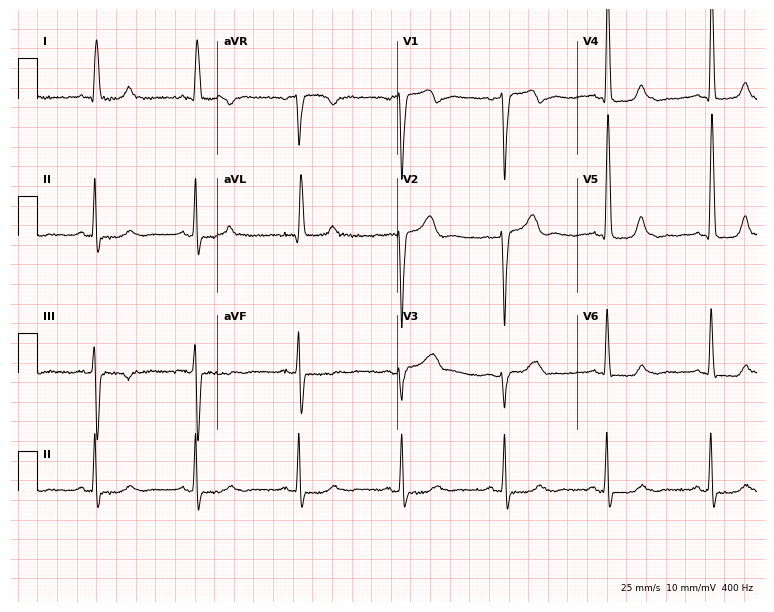
12-lead ECG (7.3-second recording at 400 Hz) from a female, 86 years old. Screened for six findings — first-degree AV block, right bundle branch block, left bundle branch block, sinus bradycardia, atrial fibrillation, sinus tachycardia — none is recorded.